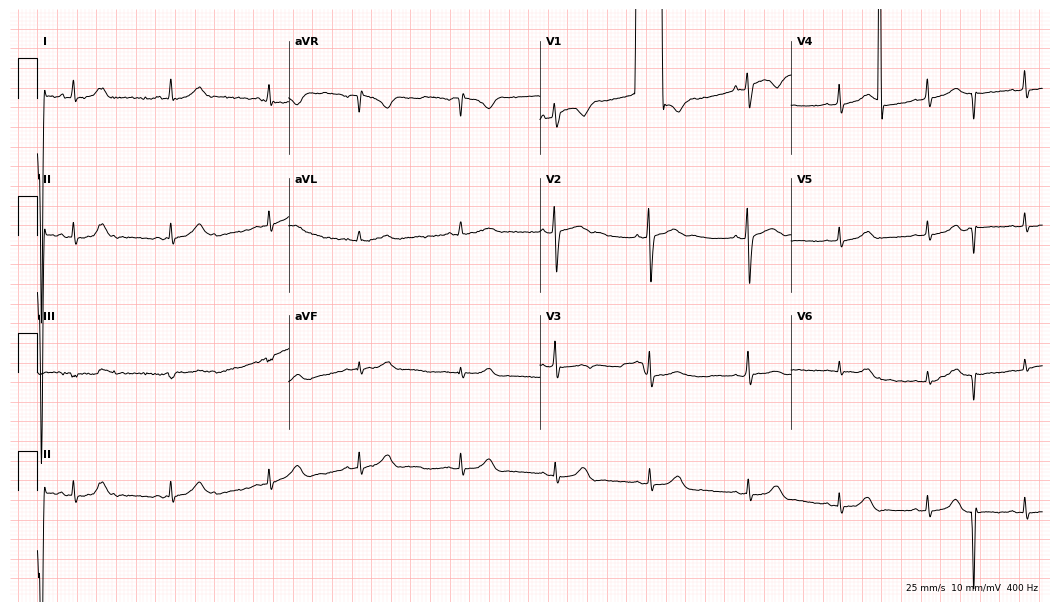
ECG (10.2-second recording at 400 Hz) — a male patient, 20 years old. Screened for six findings — first-degree AV block, right bundle branch block, left bundle branch block, sinus bradycardia, atrial fibrillation, sinus tachycardia — none is recorded.